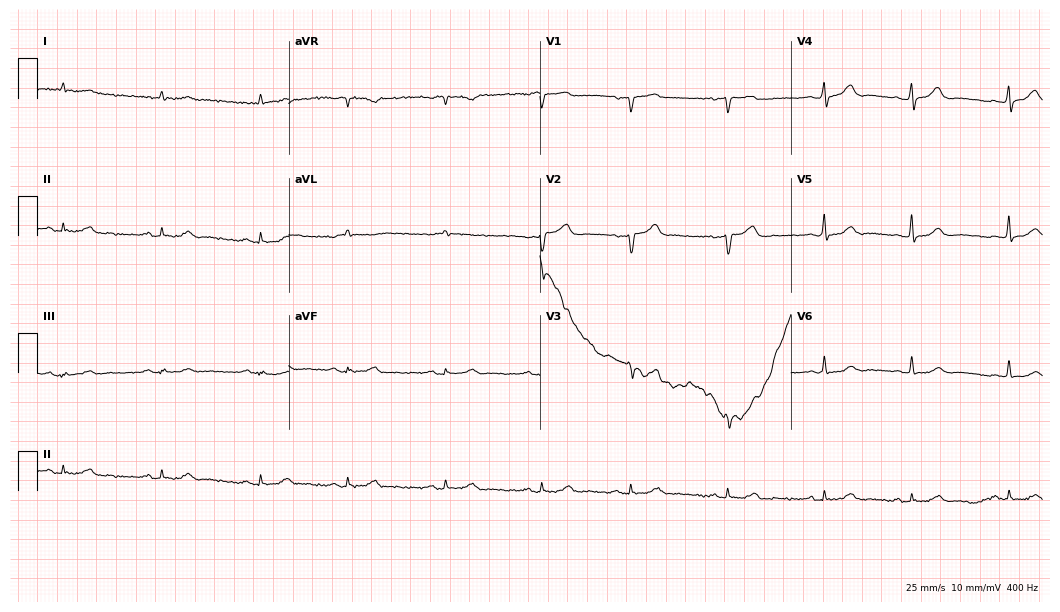
ECG — a man, 64 years old. Screened for six findings — first-degree AV block, right bundle branch block, left bundle branch block, sinus bradycardia, atrial fibrillation, sinus tachycardia — none is recorded. Only these six findings were labelled.